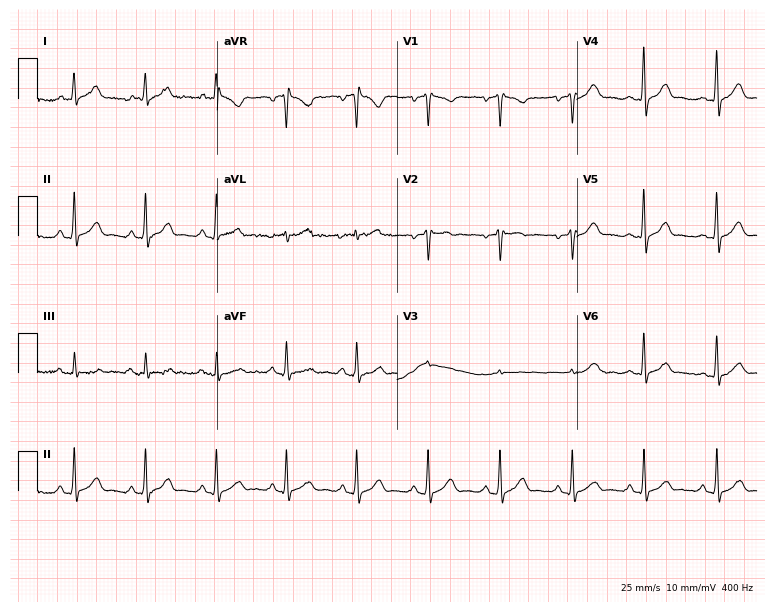
Resting 12-lead electrocardiogram. Patient: a 40-year-old female. None of these six findings is recorded: first-degree AV block, right bundle branch block (RBBB), left bundle branch block (LBBB), sinus bradycardia, atrial fibrillation (AF), sinus tachycardia.